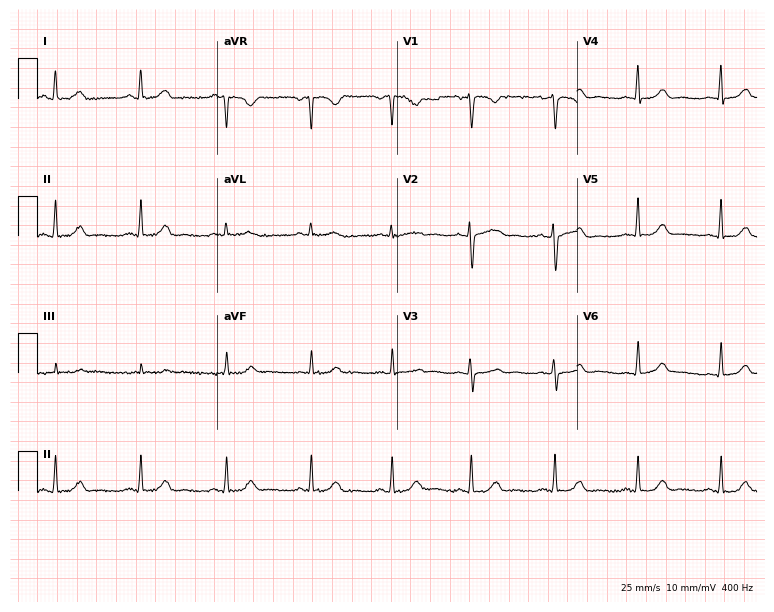
ECG (7.3-second recording at 400 Hz) — a 39-year-old female. Labelled as a normal ECG.